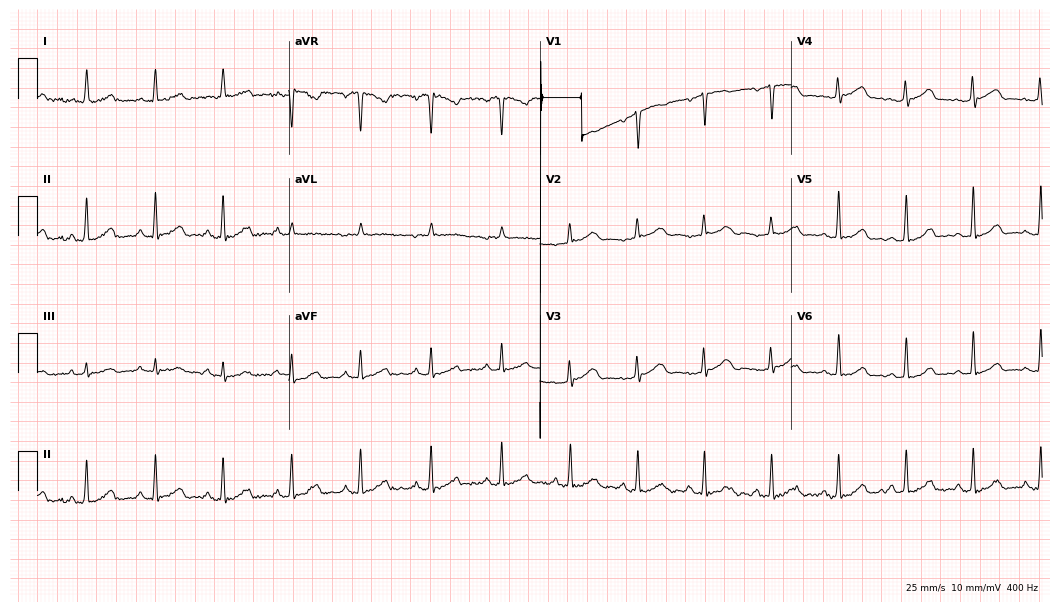
Electrocardiogram (10.2-second recording at 400 Hz), a woman, 58 years old. Of the six screened findings (first-degree AV block, right bundle branch block (RBBB), left bundle branch block (LBBB), sinus bradycardia, atrial fibrillation (AF), sinus tachycardia), none is recorded.